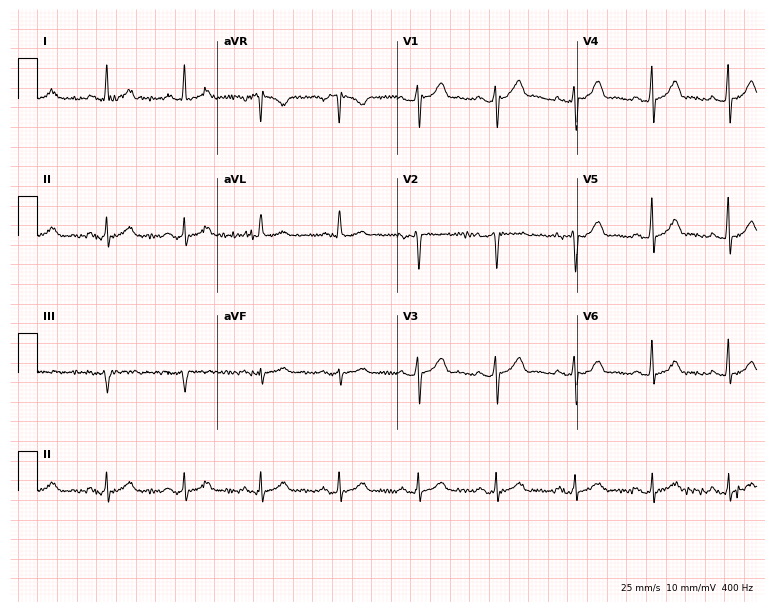
12-lead ECG from a 58-year-old female. Labelled as a normal ECG.